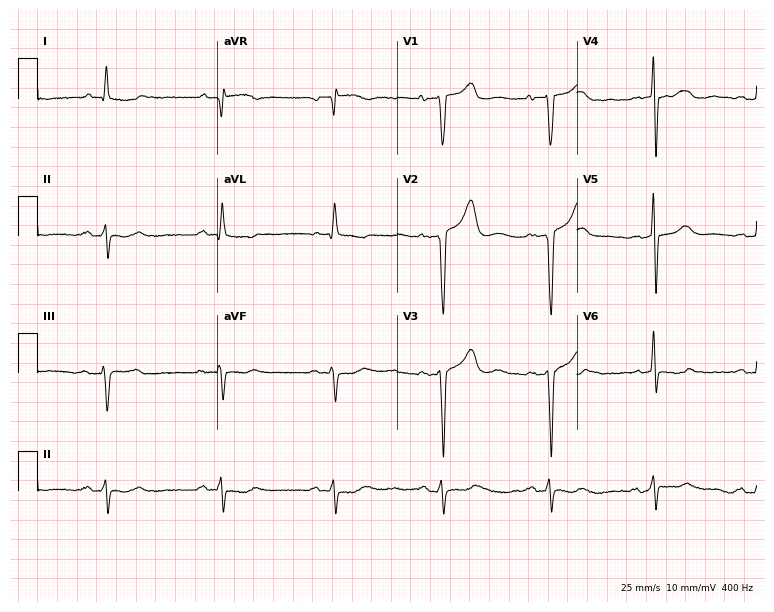
Electrocardiogram, a man, 73 years old. Of the six screened findings (first-degree AV block, right bundle branch block (RBBB), left bundle branch block (LBBB), sinus bradycardia, atrial fibrillation (AF), sinus tachycardia), none is recorded. Other findings, if any, are not listed.